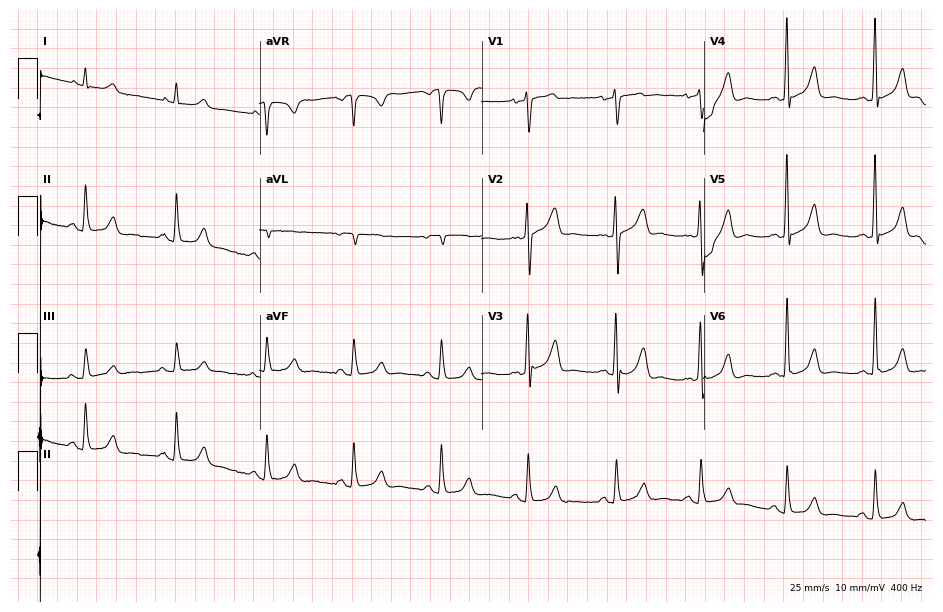
12-lead ECG from a 68-year-old male patient. Screened for six findings — first-degree AV block, right bundle branch block (RBBB), left bundle branch block (LBBB), sinus bradycardia, atrial fibrillation (AF), sinus tachycardia — none is recorded.